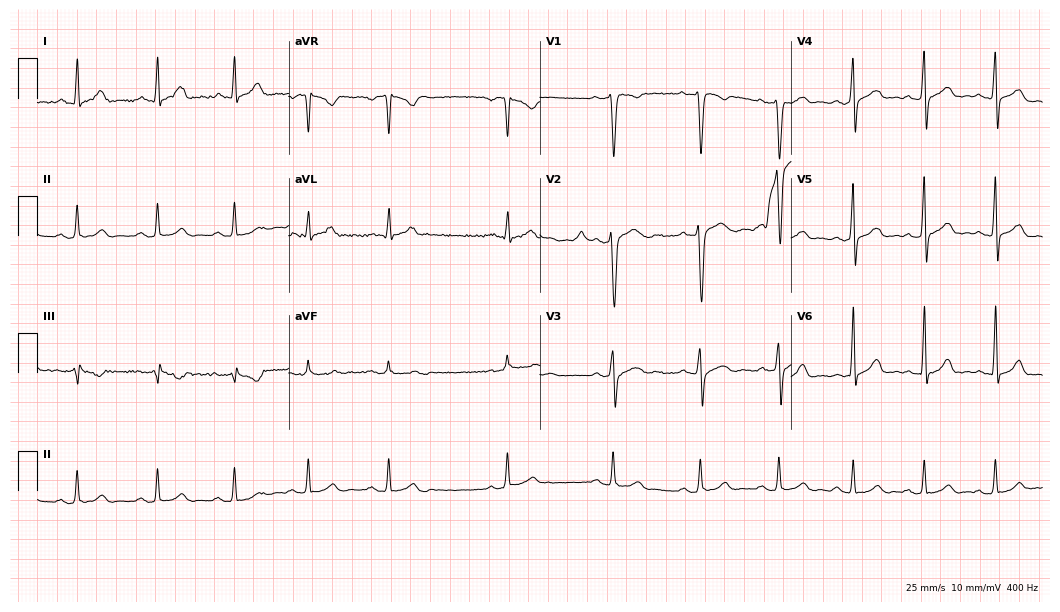
12-lead ECG from a 31-year-old man. No first-degree AV block, right bundle branch block, left bundle branch block, sinus bradycardia, atrial fibrillation or sinus tachycardia recorded for this tracing.